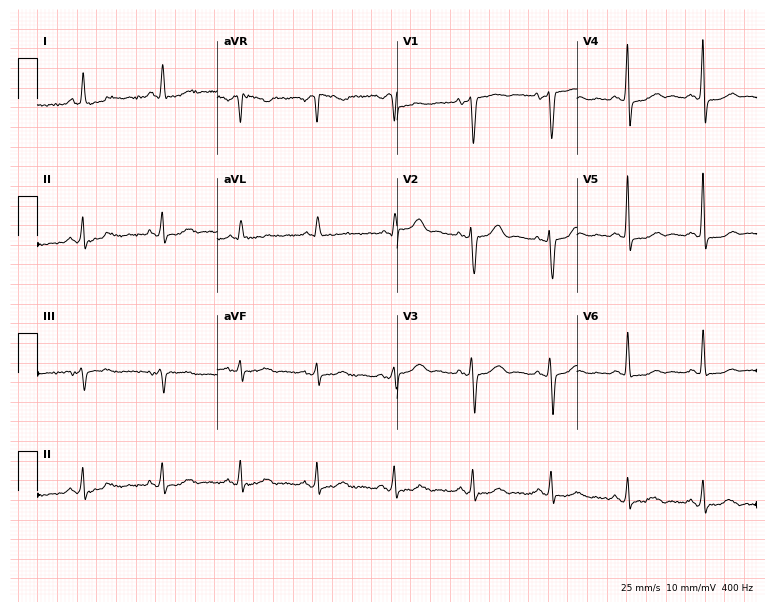
12-lead ECG from a female patient, 59 years old. Screened for six findings — first-degree AV block, right bundle branch block, left bundle branch block, sinus bradycardia, atrial fibrillation, sinus tachycardia — none is recorded. Other findings, if any, are not listed.